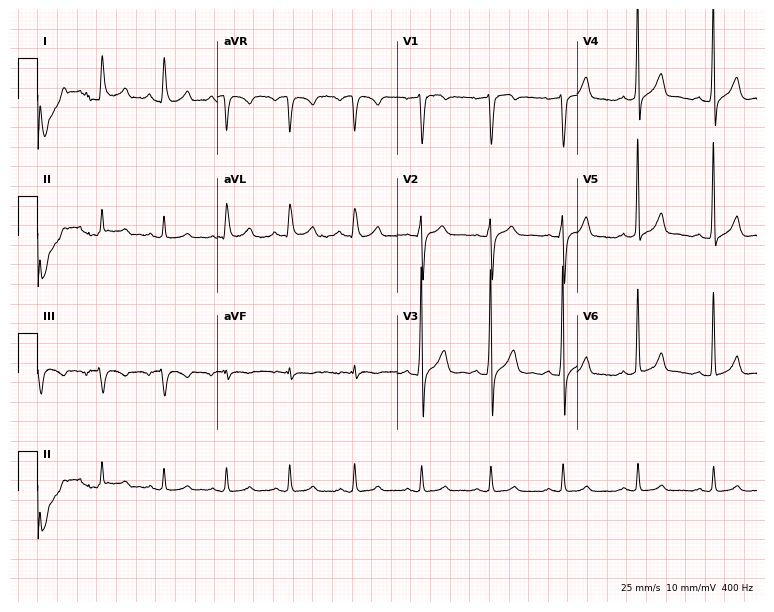
12-lead ECG from a 44-year-old male. No first-degree AV block, right bundle branch block, left bundle branch block, sinus bradycardia, atrial fibrillation or sinus tachycardia recorded for this tracing.